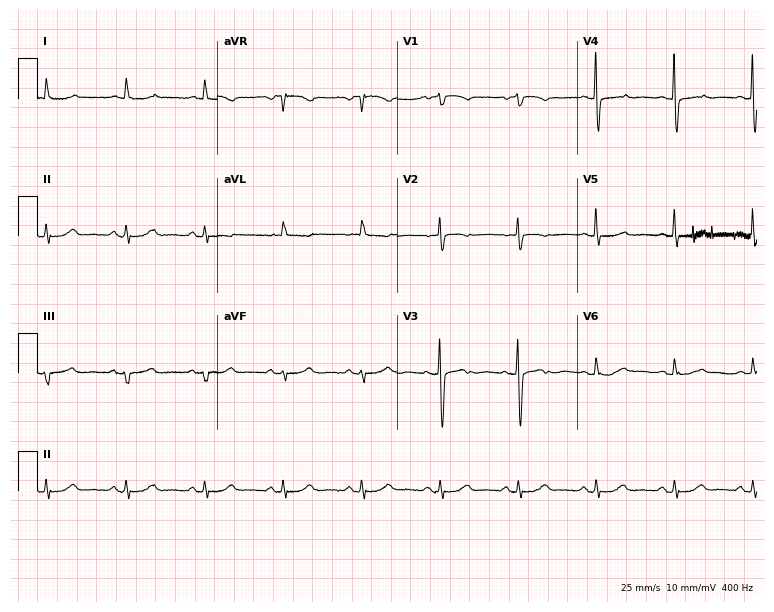
Resting 12-lead electrocardiogram (7.3-second recording at 400 Hz). Patient: a 77-year-old woman. Read as a normal ECG.